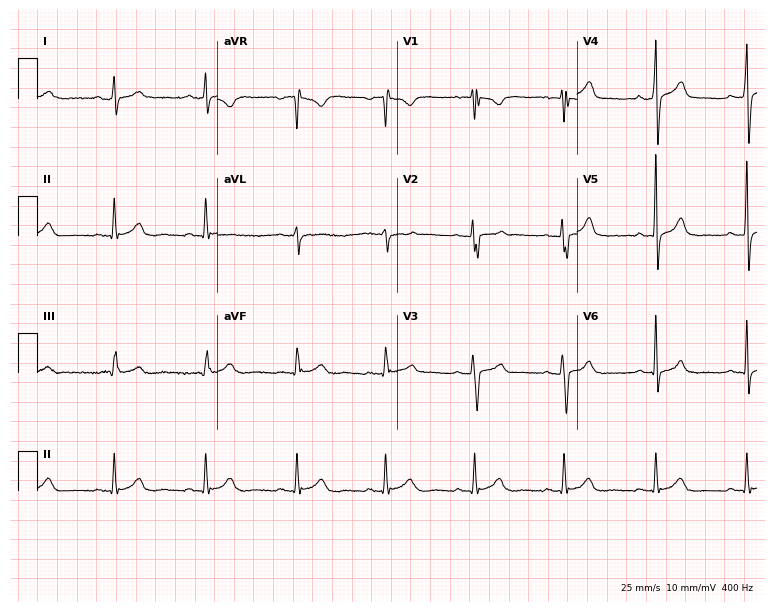
12-lead ECG from a man, 40 years old. Recorded interpretation: within normal limits.